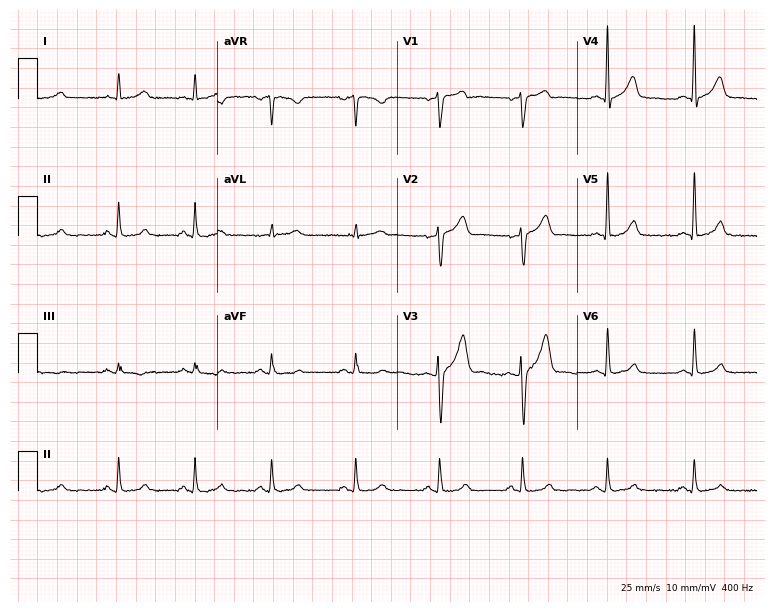
ECG — a 50-year-old man. Labelled as a normal ECG.